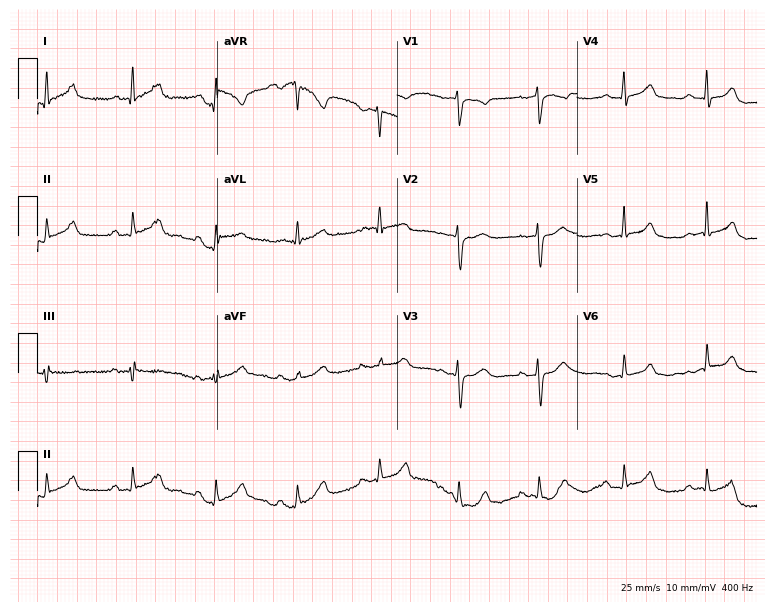
12-lead ECG from a woman, 38 years old. Recorded interpretation: within normal limits.